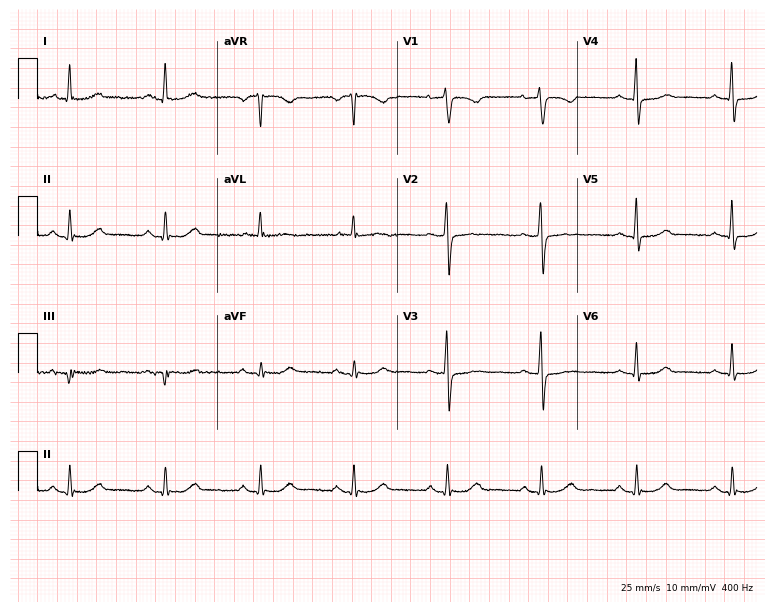
Resting 12-lead electrocardiogram (7.3-second recording at 400 Hz). Patient: a woman, 60 years old. Read as a normal ECG.